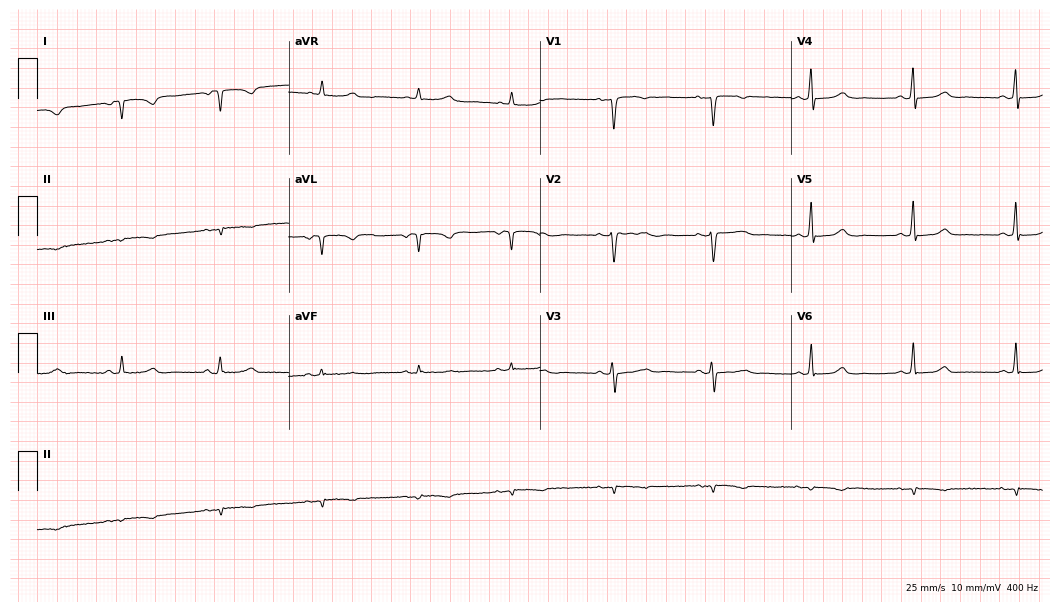
12-lead ECG (10.2-second recording at 400 Hz) from a 45-year-old female. Screened for six findings — first-degree AV block, right bundle branch block, left bundle branch block, sinus bradycardia, atrial fibrillation, sinus tachycardia — none is recorded.